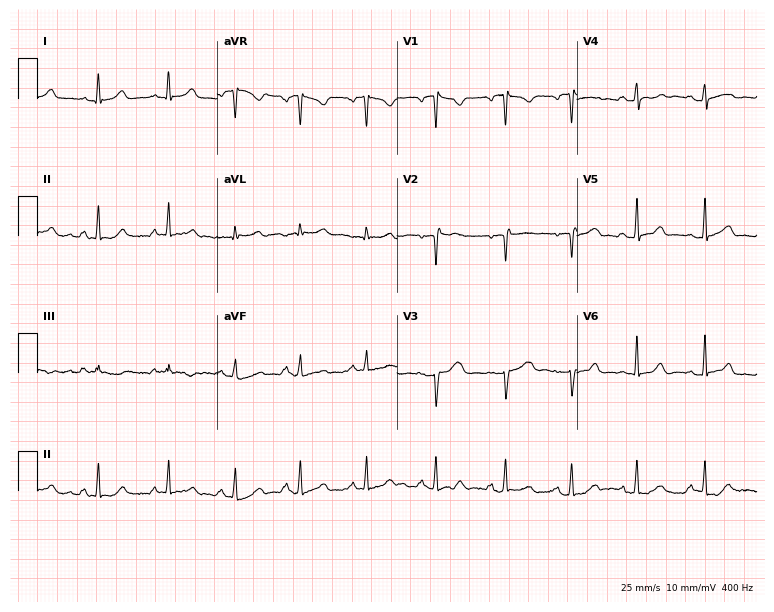
Electrocardiogram, a woman, 27 years old. Overall reading on record: normal ECG.